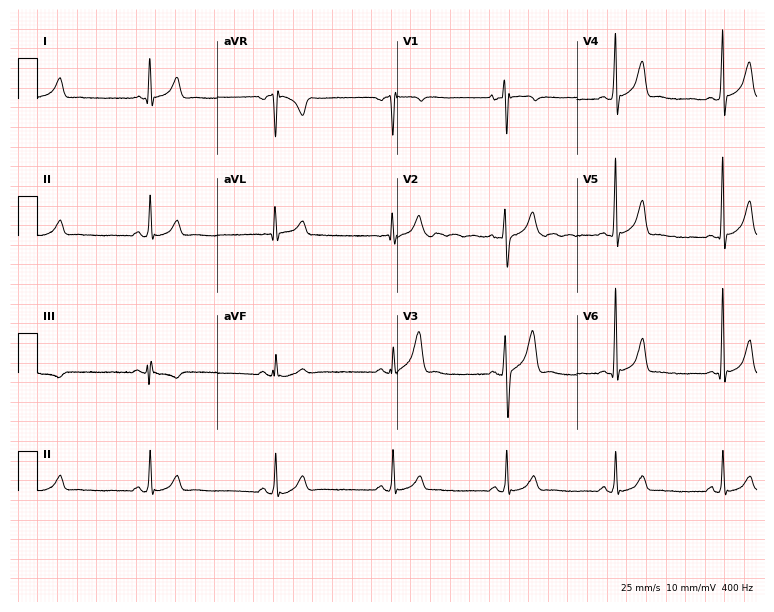
Resting 12-lead electrocardiogram. Patient: a male, 26 years old. None of these six findings is recorded: first-degree AV block, right bundle branch block, left bundle branch block, sinus bradycardia, atrial fibrillation, sinus tachycardia. Other findings, if any, are not listed.